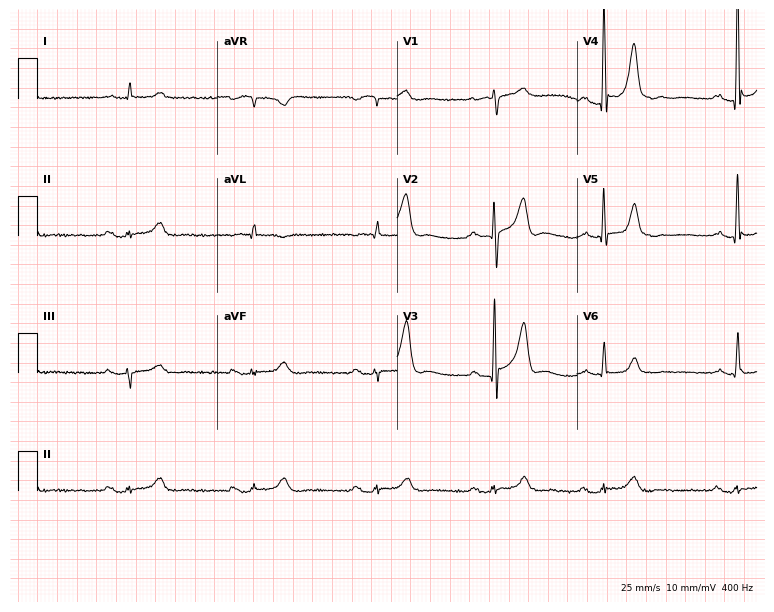
ECG (7.3-second recording at 400 Hz) — a male, 71 years old. Findings include sinus bradycardia (a sinus rate of 50 beats per minute or less).